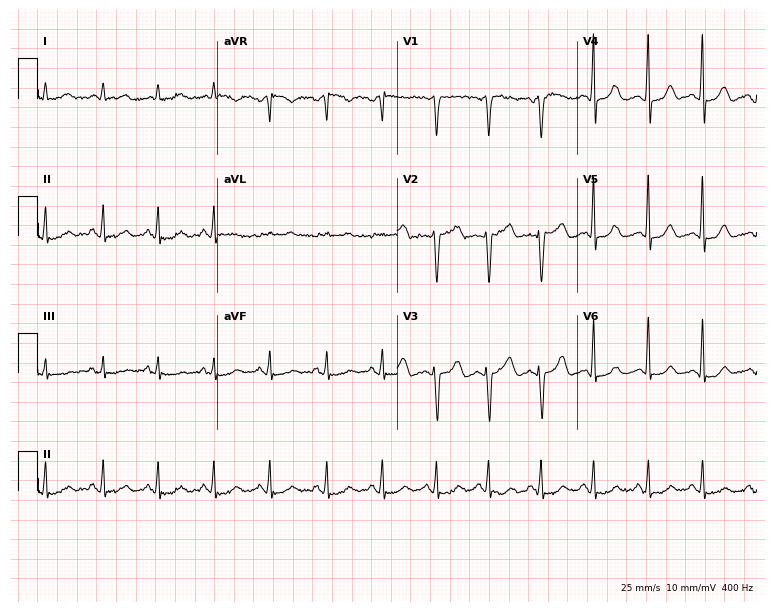
Electrocardiogram, a male, 52 years old. Of the six screened findings (first-degree AV block, right bundle branch block, left bundle branch block, sinus bradycardia, atrial fibrillation, sinus tachycardia), none is recorded.